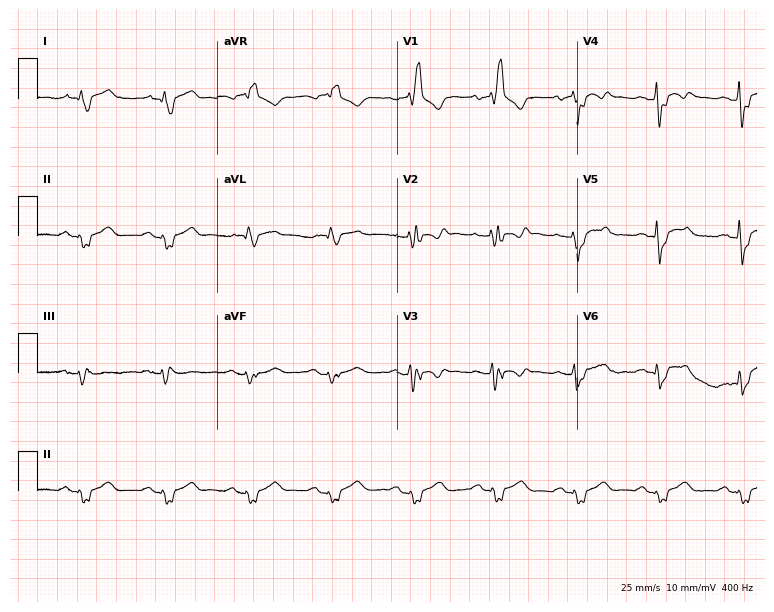
12-lead ECG (7.3-second recording at 400 Hz) from a male patient, 57 years old. Findings include right bundle branch block.